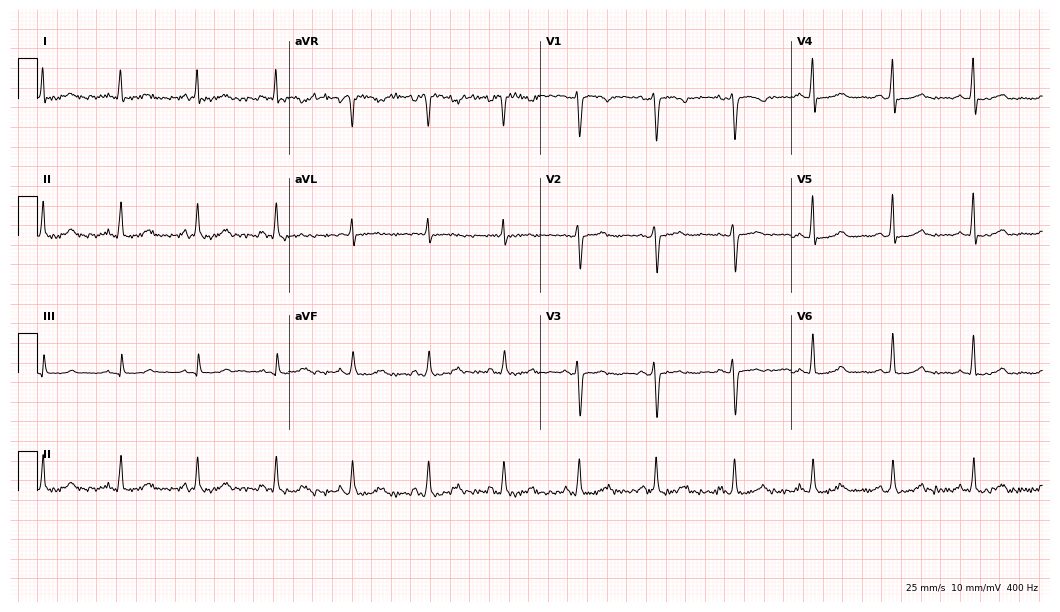
ECG — a 43-year-old female. Screened for six findings — first-degree AV block, right bundle branch block (RBBB), left bundle branch block (LBBB), sinus bradycardia, atrial fibrillation (AF), sinus tachycardia — none is recorded. Other findings, if any, are not listed.